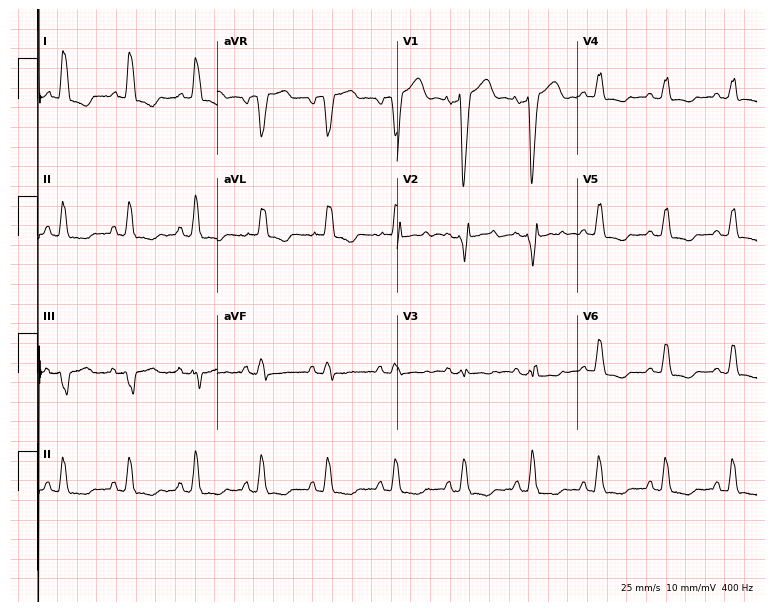
ECG — an 81-year-old woman. Findings include left bundle branch block.